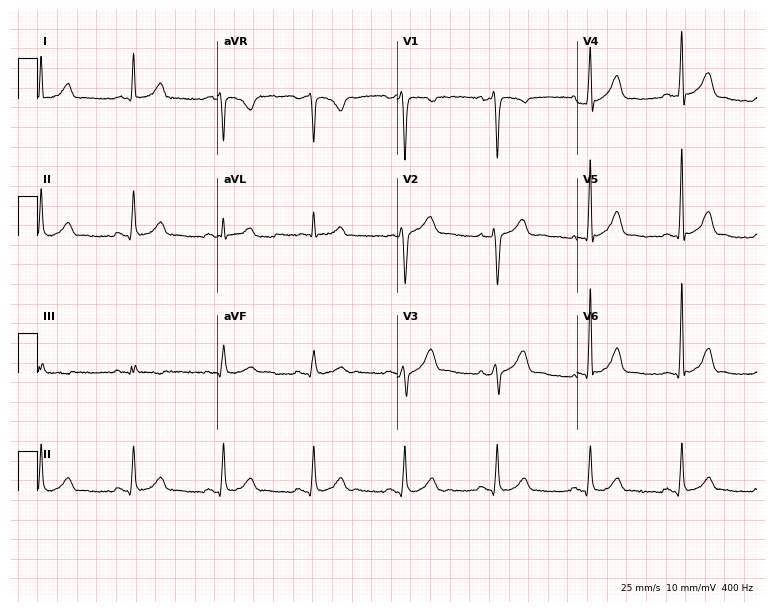
12-lead ECG from a man, 47 years old. Screened for six findings — first-degree AV block, right bundle branch block, left bundle branch block, sinus bradycardia, atrial fibrillation, sinus tachycardia — none is recorded.